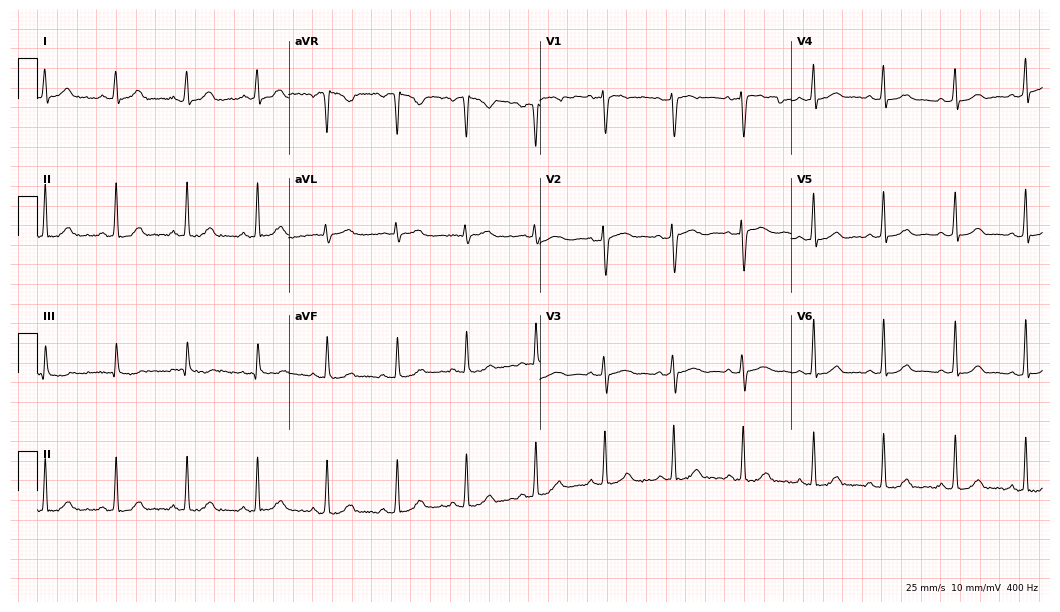
ECG (10.2-second recording at 400 Hz) — a 26-year-old female patient. Labelled as a normal ECG.